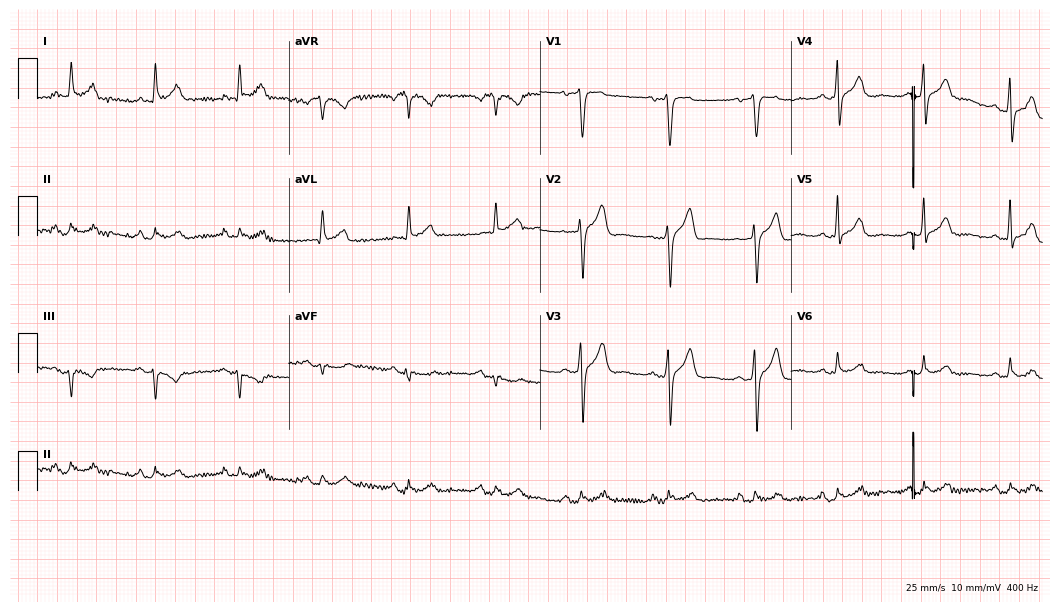
12-lead ECG (10.2-second recording at 400 Hz) from a 53-year-old male. Labelled as a normal ECG.